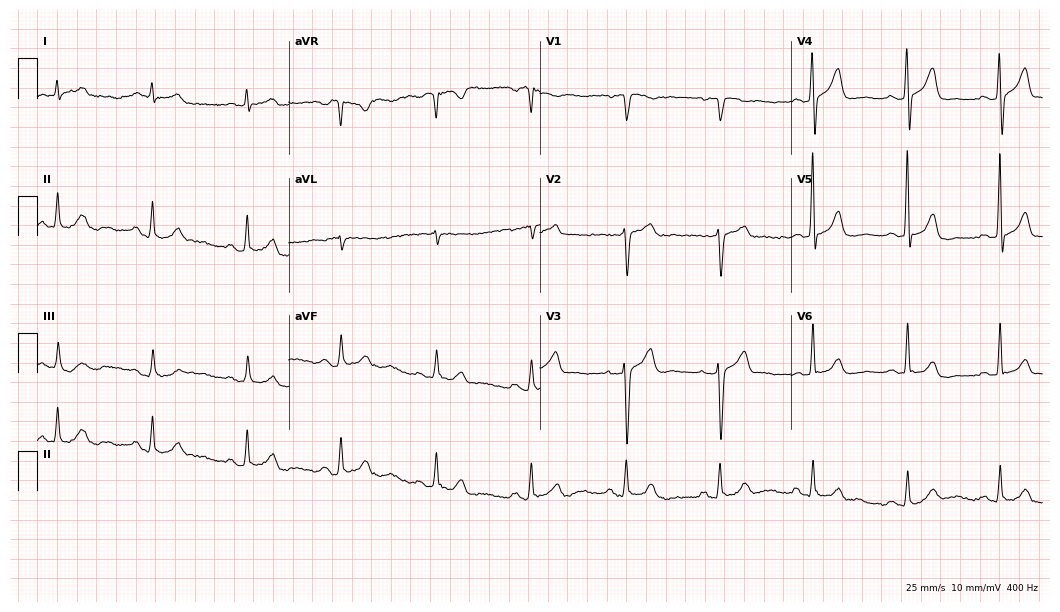
12-lead ECG (10.2-second recording at 400 Hz) from a male, 60 years old. Labelled as a normal ECG.